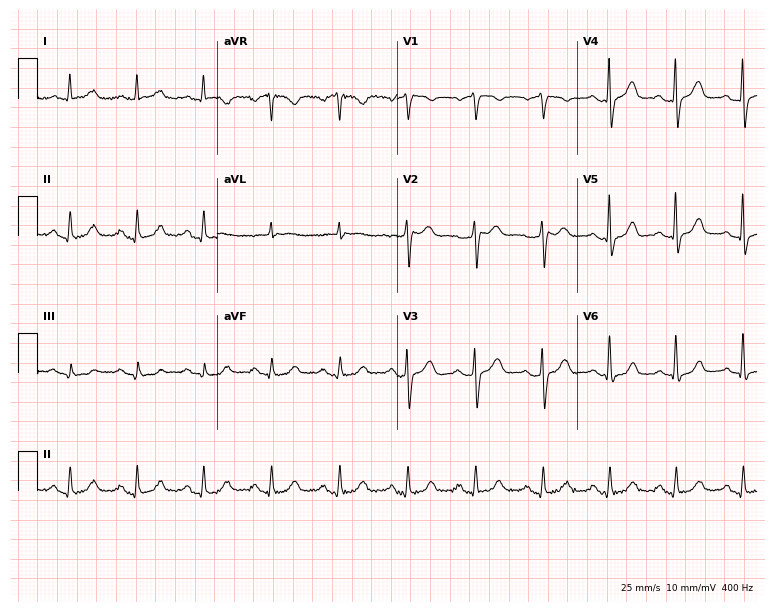
Standard 12-lead ECG recorded from a woman, 70 years old (7.3-second recording at 400 Hz). Read as a normal ECG.